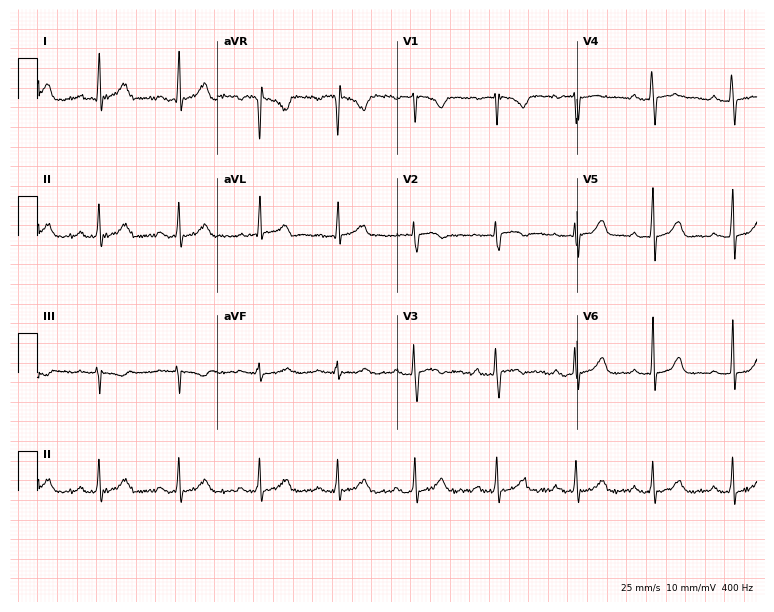
Electrocardiogram, a female, 25 years old. Overall reading on record: normal ECG.